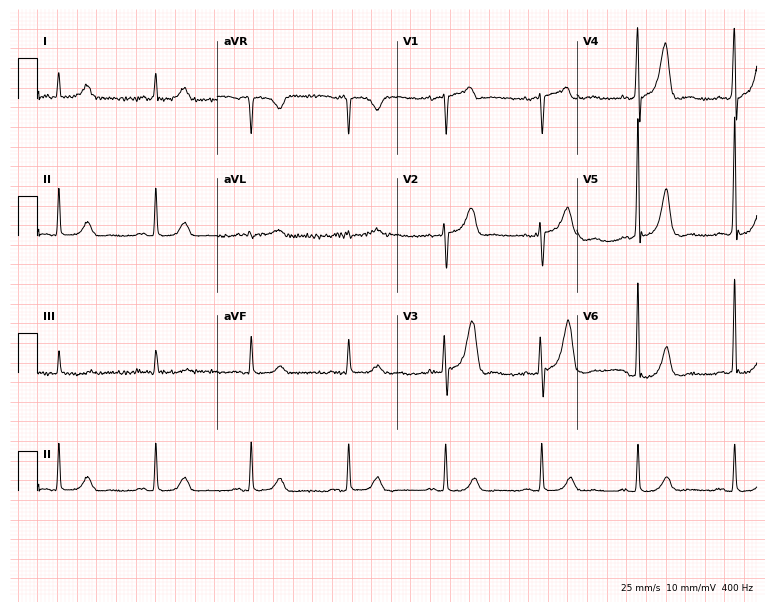
12-lead ECG from a female patient, 71 years old. Recorded interpretation: within normal limits.